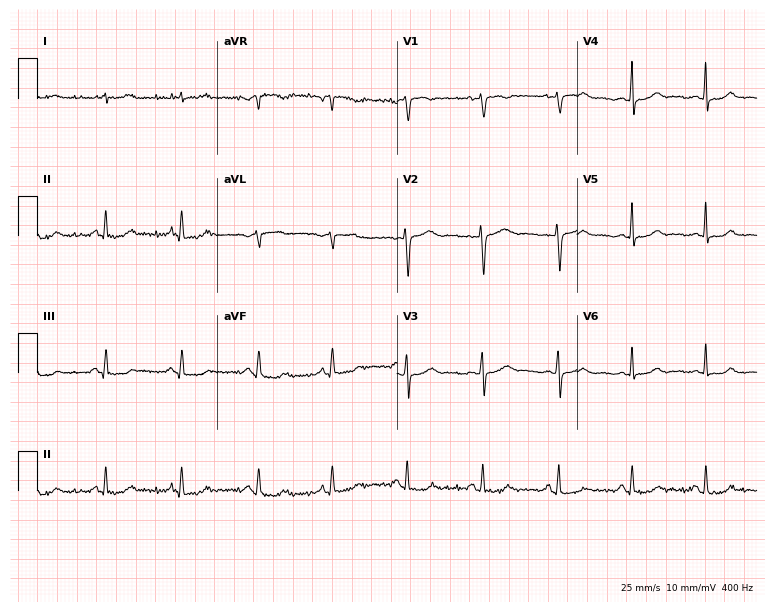
12-lead ECG (7.3-second recording at 400 Hz) from a female, 41 years old. Labelled as a normal ECG.